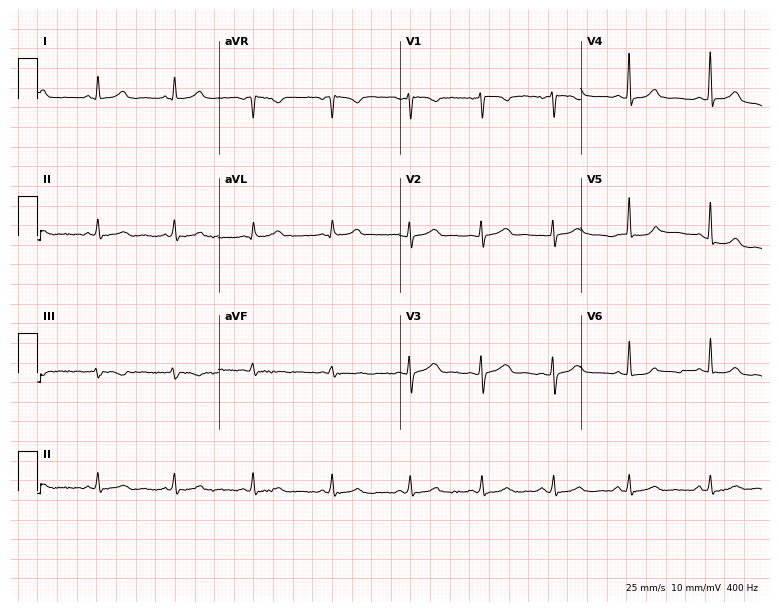
ECG (7.4-second recording at 400 Hz) — a female patient, 36 years old. Screened for six findings — first-degree AV block, right bundle branch block (RBBB), left bundle branch block (LBBB), sinus bradycardia, atrial fibrillation (AF), sinus tachycardia — none is recorded. Findings outside these six are not listed.